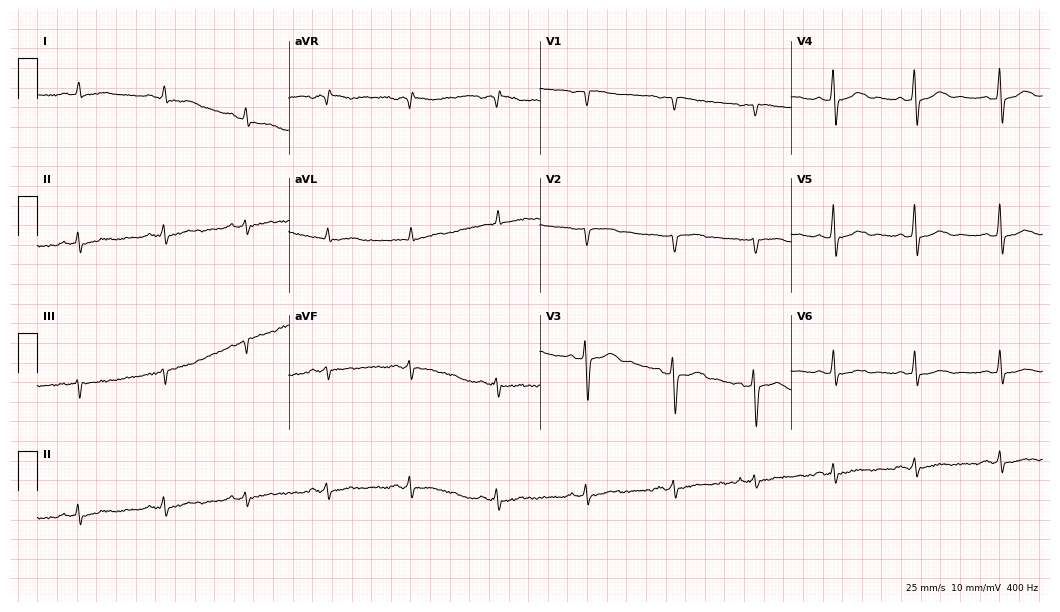
12-lead ECG from a male patient, 55 years old (10.2-second recording at 400 Hz). No first-degree AV block, right bundle branch block (RBBB), left bundle branch block (LBBB), sinus bradycardia, atrial fibrillation (AF) or sinus tachycardia recorded for this tracing.